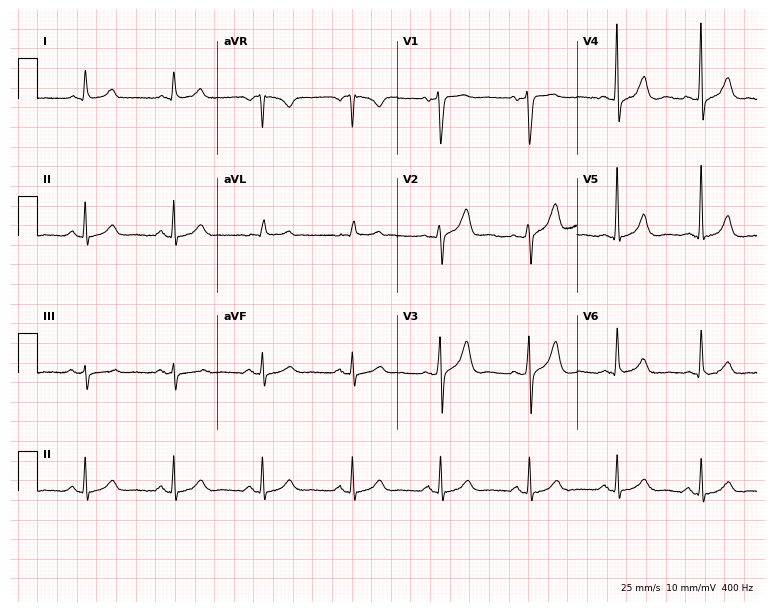
Electrocardiogram, a male, 59 years old. Overall reading on record: normal ECG.